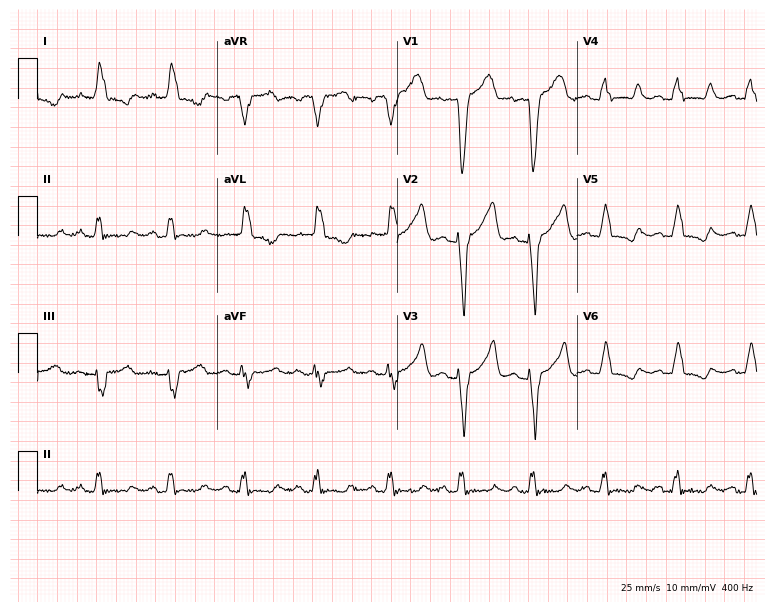
12-lead ECG from a female, 69 years old. Findings include left bundle branch block.